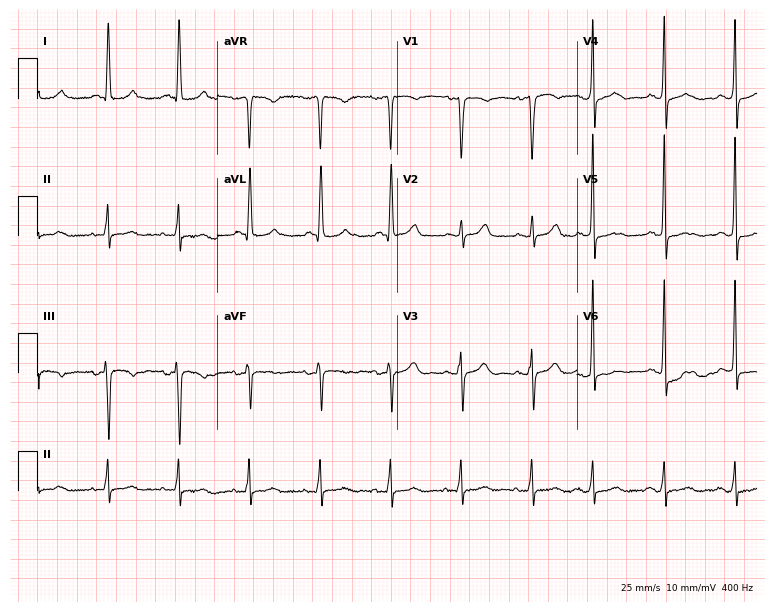
Electrocardiogram (7.3-second recording at 400 Hz), a 67-year-old woman. Of the six screened findings (first-degree AV block, right bundle branch block (RBBB), left bundle branch block (LBBB), sinus bradycardia, atrial fibrillation (AF), sinus tachycardia), none is recorded. Findings outside these six are not listed.